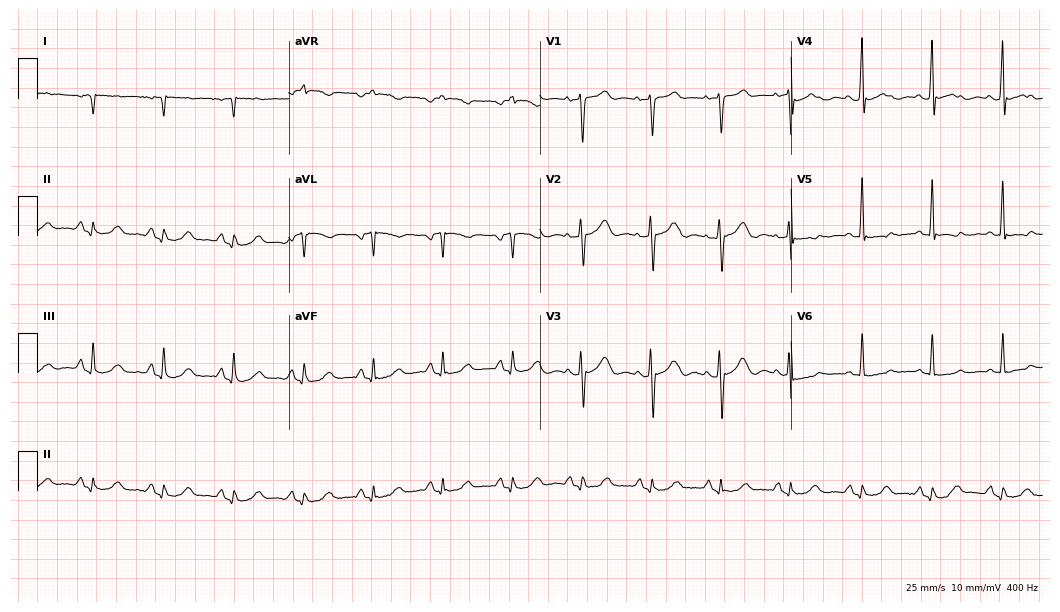
Electrocardiogram, a female, 63 years old. Of the six screened findings (first-degree AV block, right bundle branch block (RBBB), left bundle branch block (LBBB), sinus bradycardia, atrial fibrillation (AF), sinus tachycardia), none is recorded.